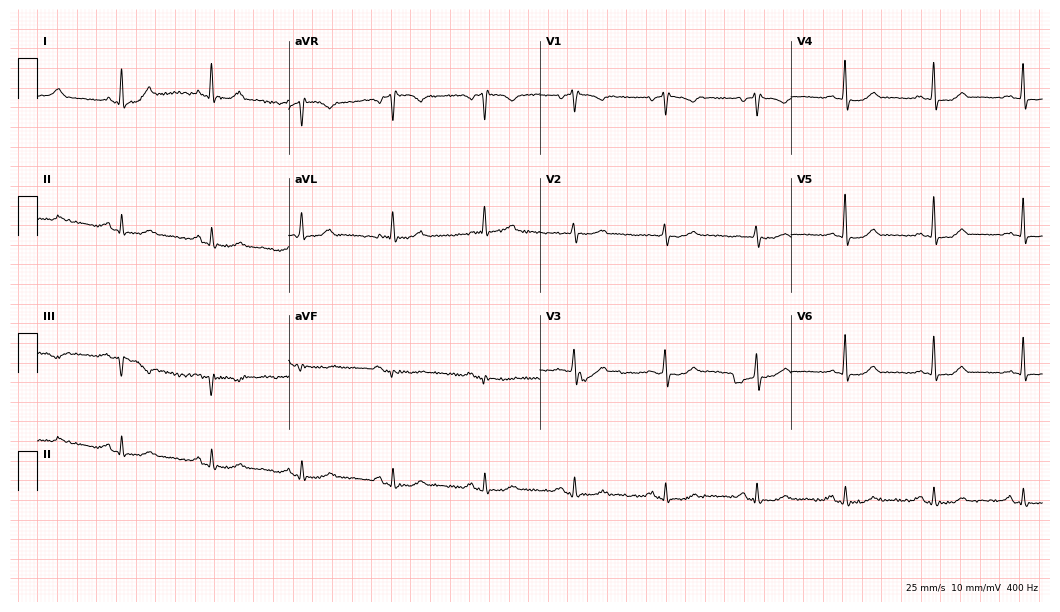
ECG — a 46-year-old woman. Screened for six findings — first-degree AV block, right bundle branch block, left bundle branch block, sinus bradycardia, atrial fibrillation, sinus tachycardia — none is recorded. Other findings, if any, are not listed.